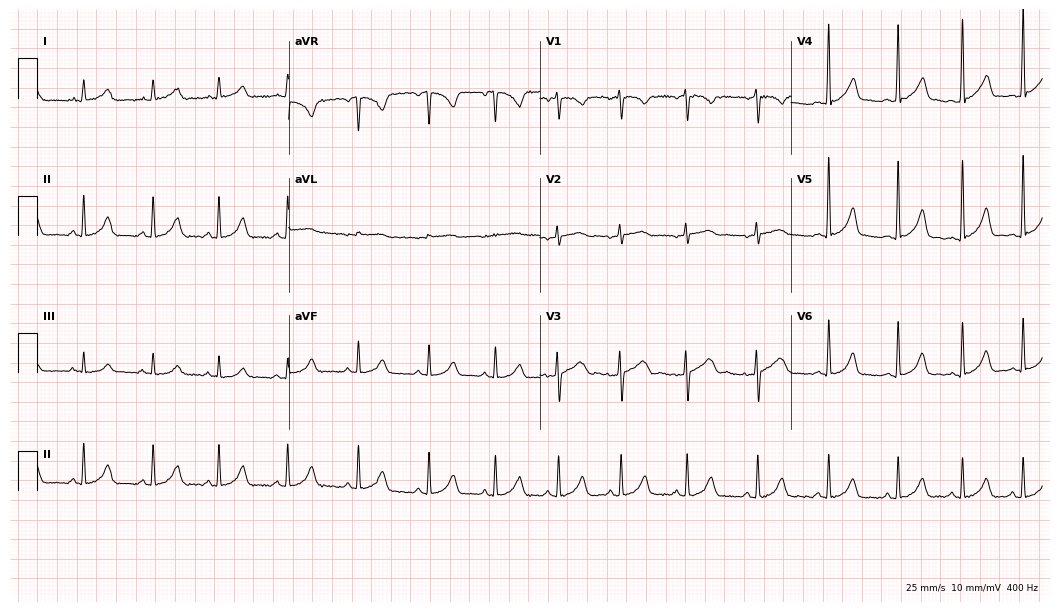
ECG (10.2-second recording at 400 Hz) — a female, 26 years old. Labelled as a normal ECG.